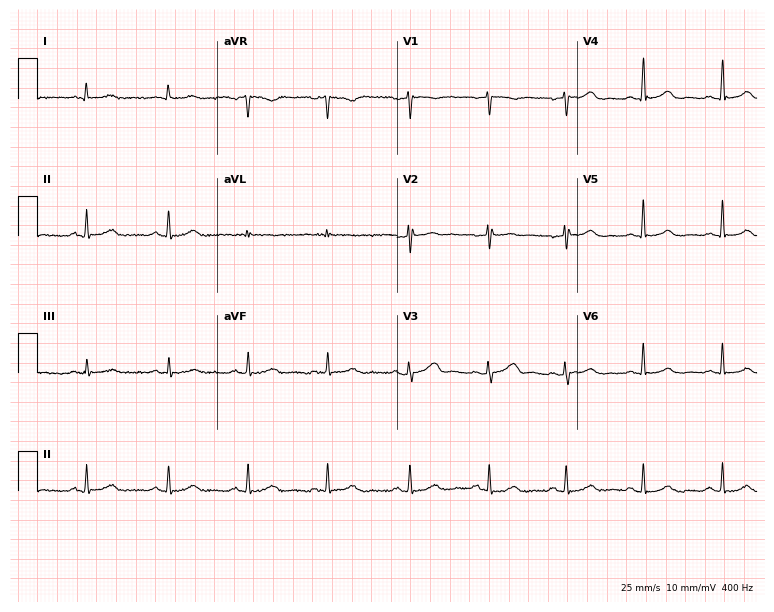
Electrocardiogram (7.3-second recording at 400 Hz), a 46-year-old female patient. Overall reading on record: normal ECG.